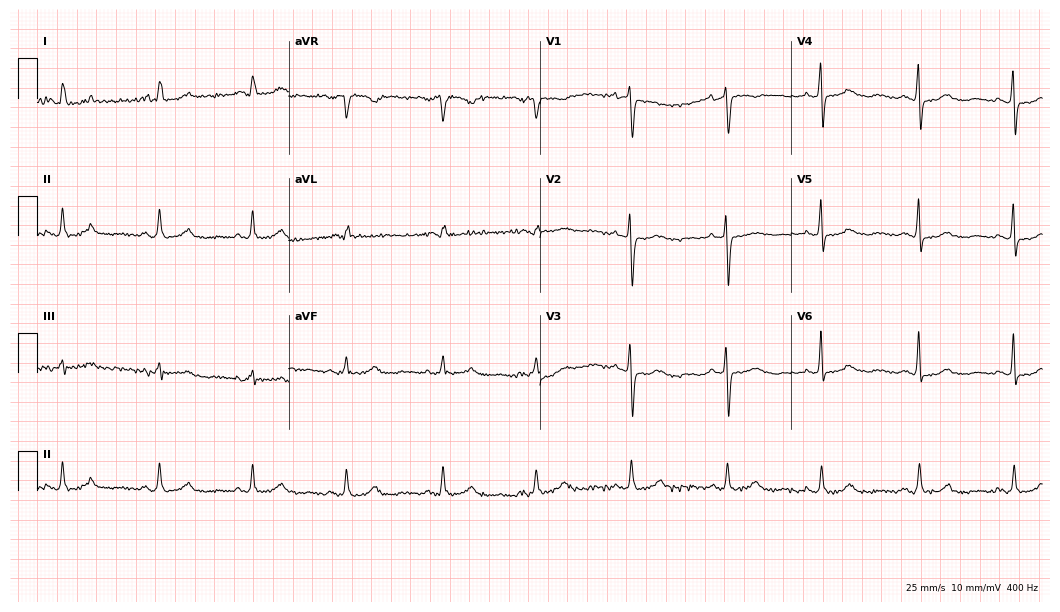
12-lead ECG from a female, 80 years old (10.2-second recording at 400 Hz). Recorded interpretation: within normal limits.